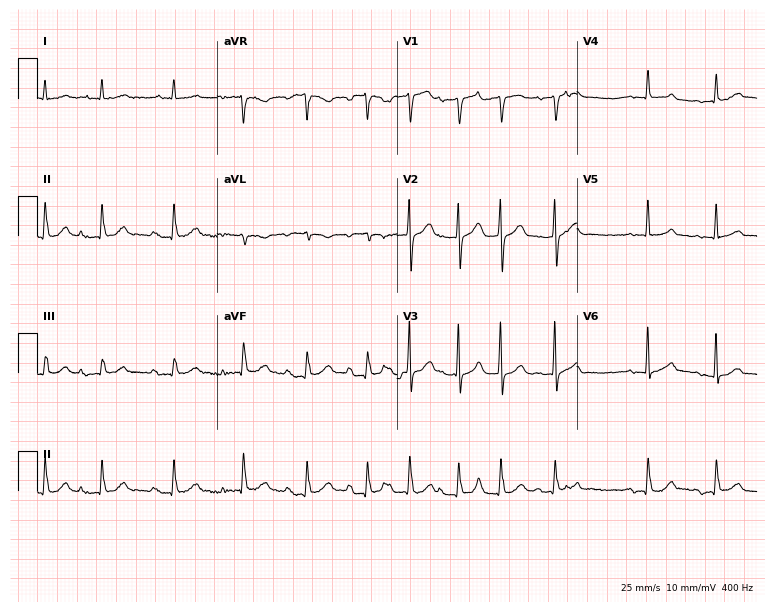
ECG (7.3-second recording at 400 Hz) — a male patient, 82 years old. Labelled as a normal ECG.